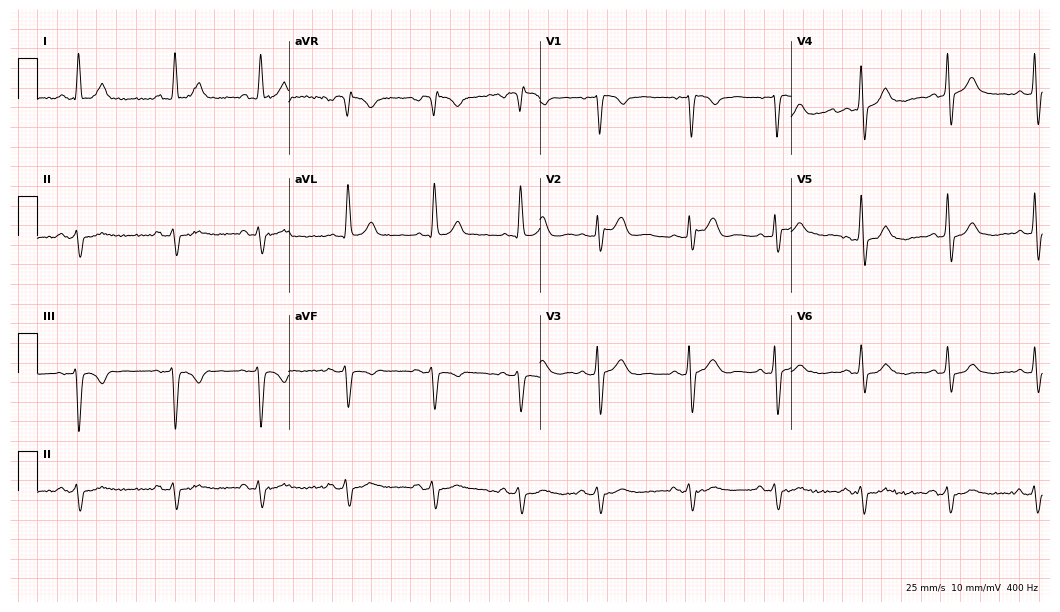
Standard 12-lead ECG recorded from a male, 85 years old. None of these six findings is recorded: first-degree AV block, right bundle branch block, left bundle branch block, sinus bradycardia, atrial fibrillation, sinus tachycardia. Findings outside these six are not listed.